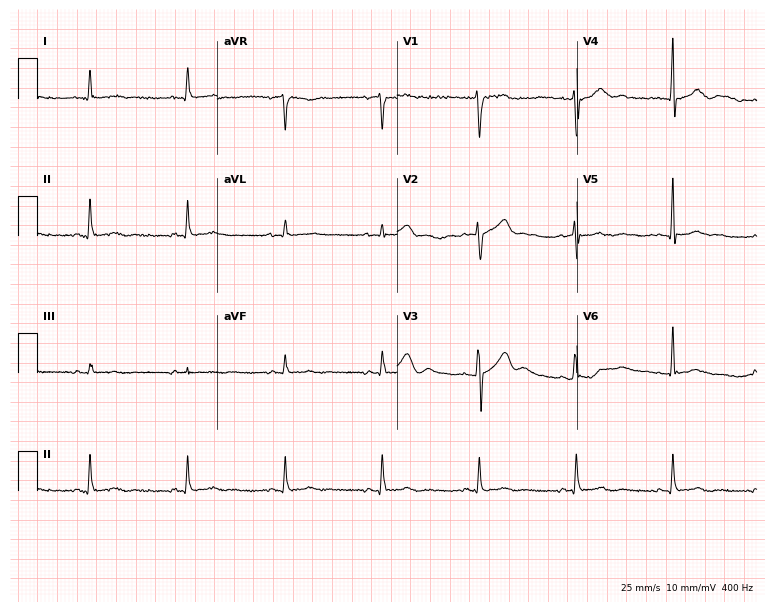
12-lead ECG from a 72-year-old male. No first-degree AV block, right bundle branch block, left bundle branch block, sinus bradycardia, atrial fibrillation or sinus tachycardia recorded for this tracing.